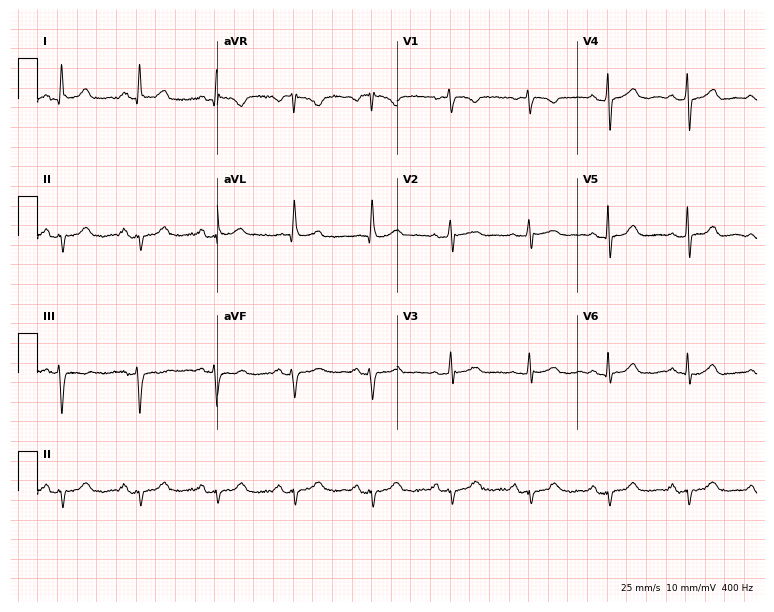
Electrocardiogram (7.3-second recording at 400 Hz), a 71-year-old female patient. Of the six screened findings (first-degree AV block, right bundle branch block, left bundle branch block, sinus bradycardia, atrial fibrillation, sinus tachycardia), none is recorded.